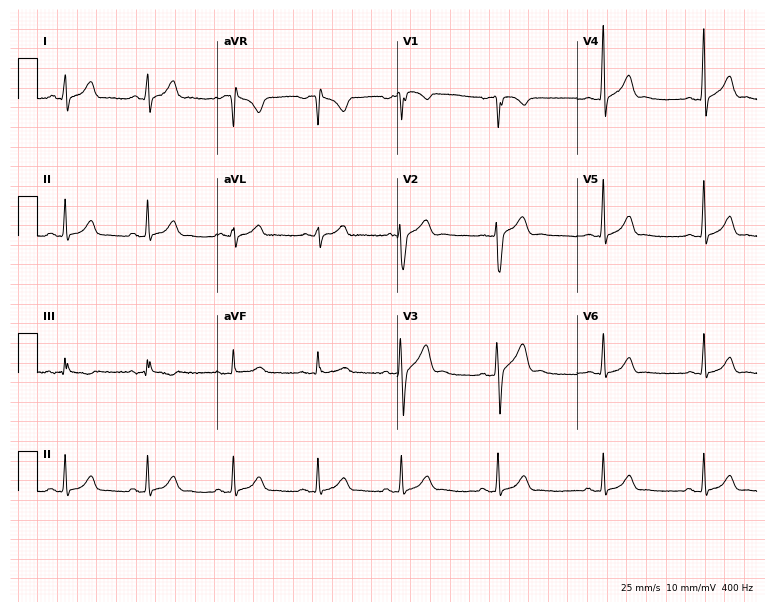
ECG — a 22-year-old man. Labelled as a normal ECG.